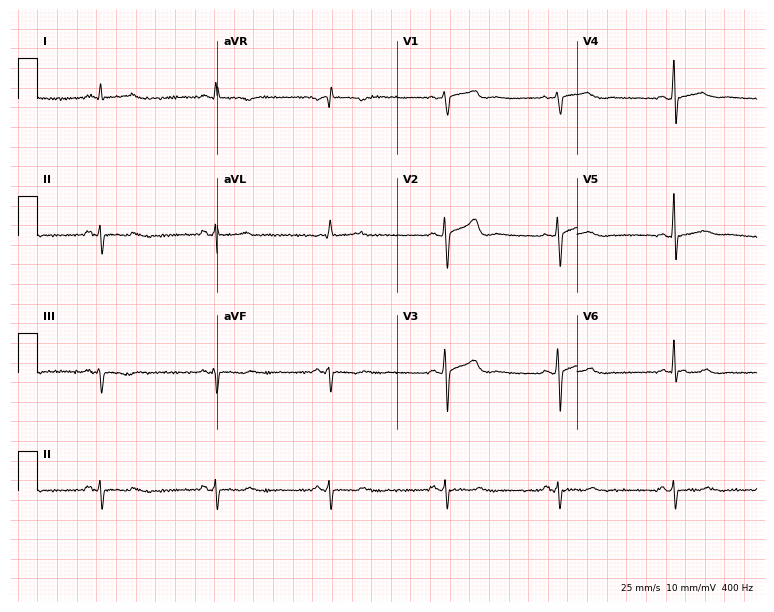
12-lead ECG (7.3-second recording at 400 Hz) from a male, 61 years old. Screened for six findings — first-degree AV block, right bundle branch block, left bundle branch block, sinus bradycardia, atrial fibrillation, sinus tachycardia — none is recorded. Only these six findings were labelled.